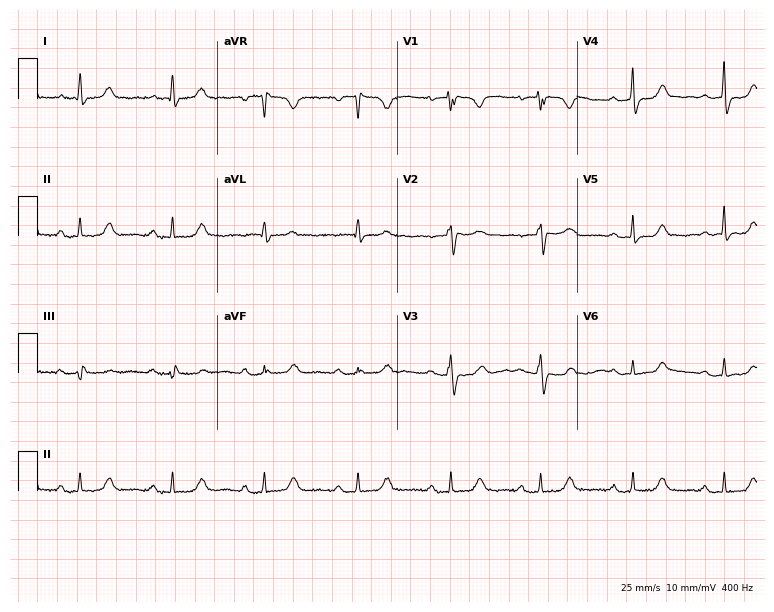
Resting 12-lead electrocardiogram. Patient: a female, 71 years old. None of these six findings is recorded: first-degree AV block, right bundle branch block (RBBB), left bundle branch block (LBBB), sinus bradycardia, atrial fibrillation (AF), sinus tachycardia.